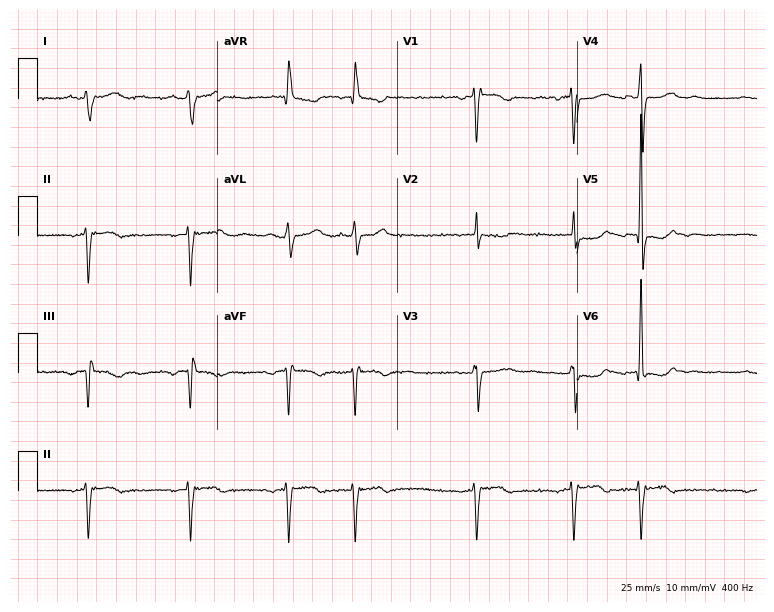
12-lead ECG (7.3-second recording at 400 Hz) from a woman, 54 years old. Screened for six findings — first-degree AV block, right bundle branch block, left bundle branch block, sinus bradycardia, atrial fibrillation, sinus tachycardia — none is recorded. Other findings, if any, are not listed.